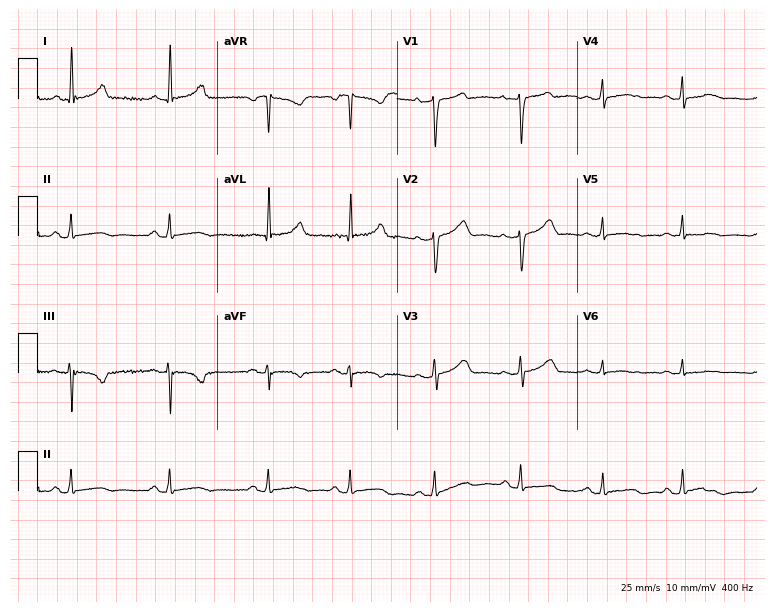
12-lead ECG from a 36-year-old female. No first-degree AV block, right bundle branch block, left bundle branch block, sinus bradycardia, atrial fibrillation or sinus tachycardia recorded for this tracing.